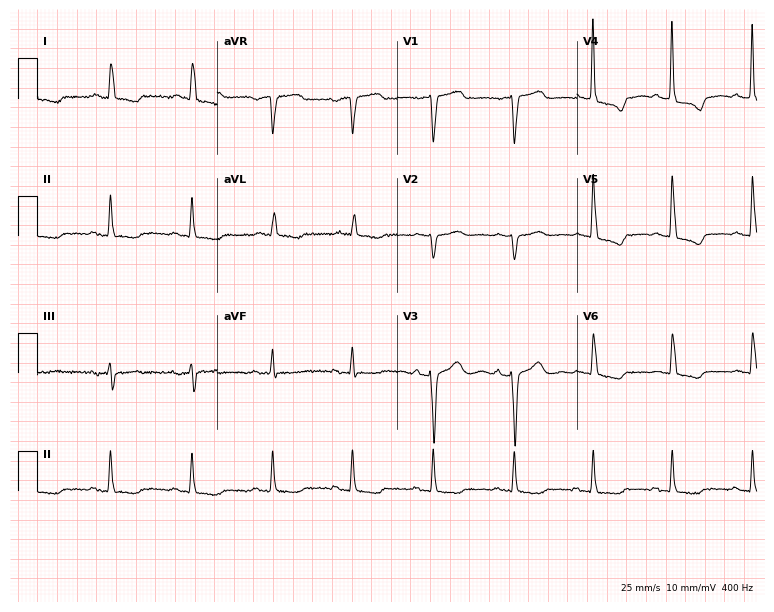
Electrocardiogram, a female, 69 years old. Of the six screened findings (first-degree AV block, right bundle branch block, left bundle branch block, sinus bradycardia, atrial fibrillation, sinus tachycardia), none is recorded.